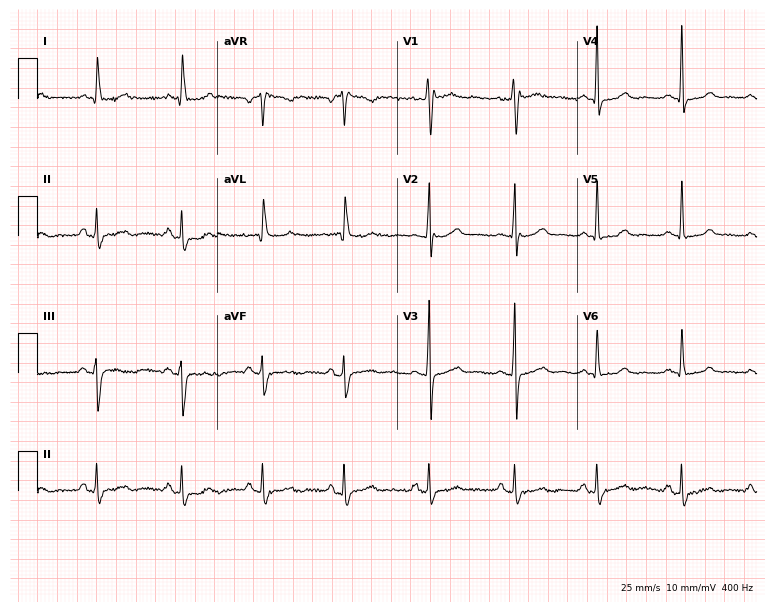
12-lead ECG from a woman, 40 years old (7.3-second recording at 400 Hz). No first-degree AV block, right bundle branch block (RBBB), left bundle branch block (LBBB), sinus bradycardia, atrial fibrillation (AF) or sinus tachycardia recorded for this tracing. Other findings, if any, are not listed.